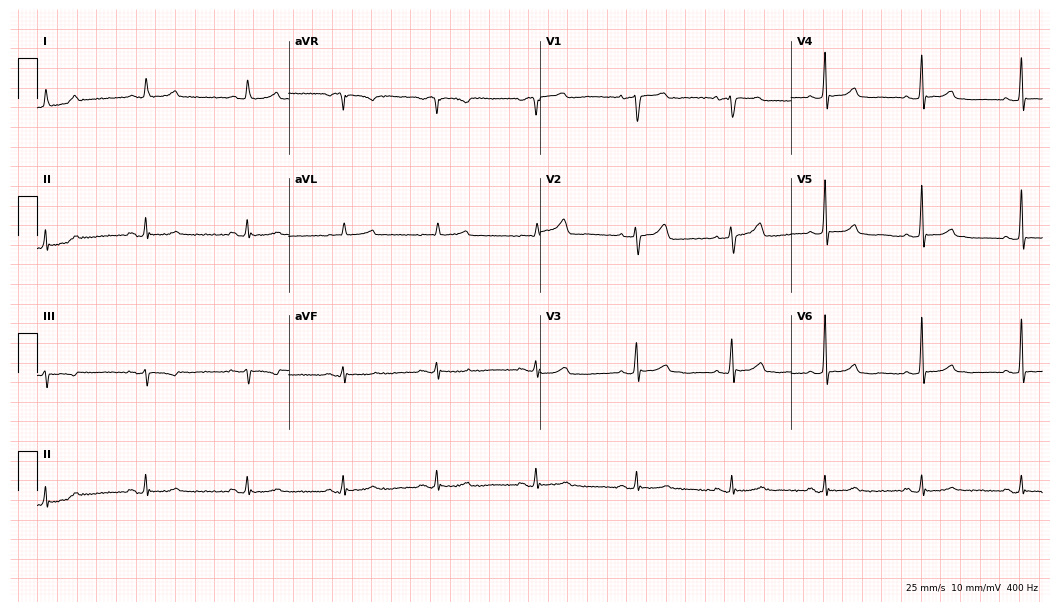
12-lead ECG from a 47-year-old female (10.2-second recording at 400 Hz). No first-degree AV block, right bundle branch block, left bundle branch block, sinus bradycardia, atrial fibrillation or sinus tachycardia recorded for this tracing. Only these six findings were labelled.